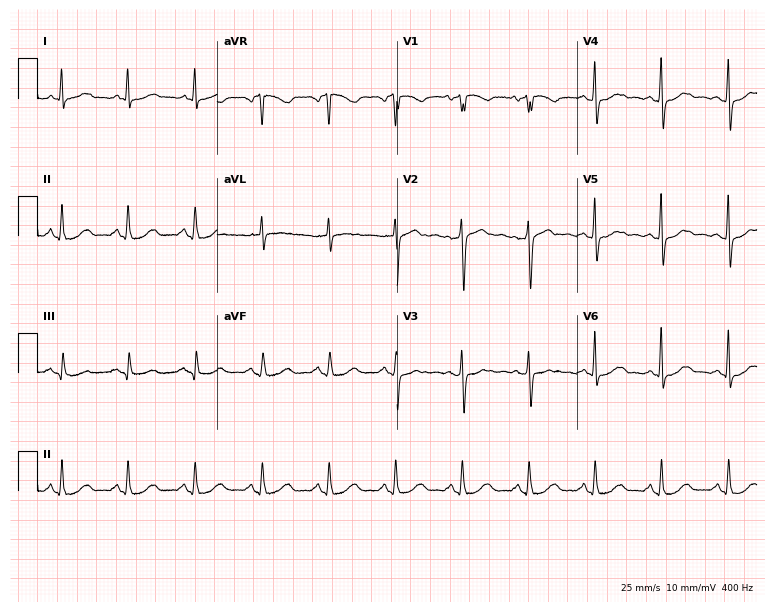
ECG (7.3-second recording at 400 Hz) — a 64-year-old woman. Labelled as a normal ECG.